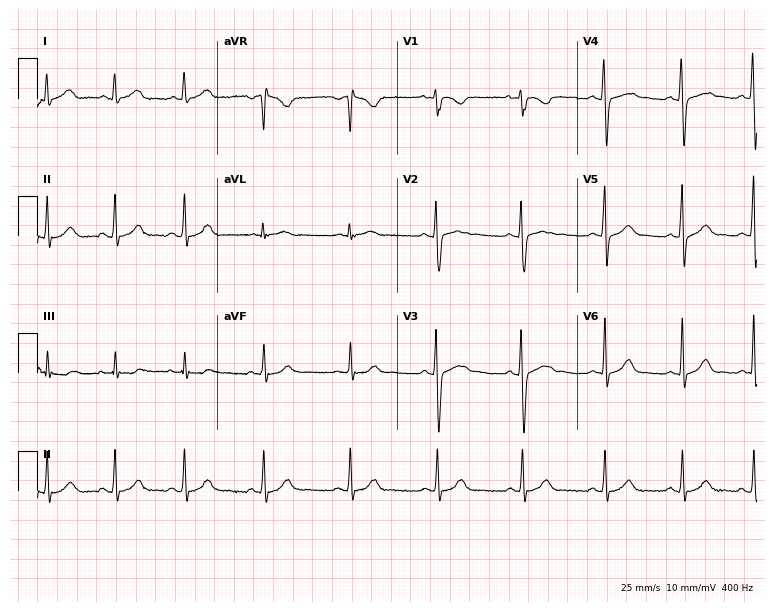
12-lead ECG from a female patient, 26 years old (7.3-second recording at 400 Hz). Recorded interpretation: within normal limits.